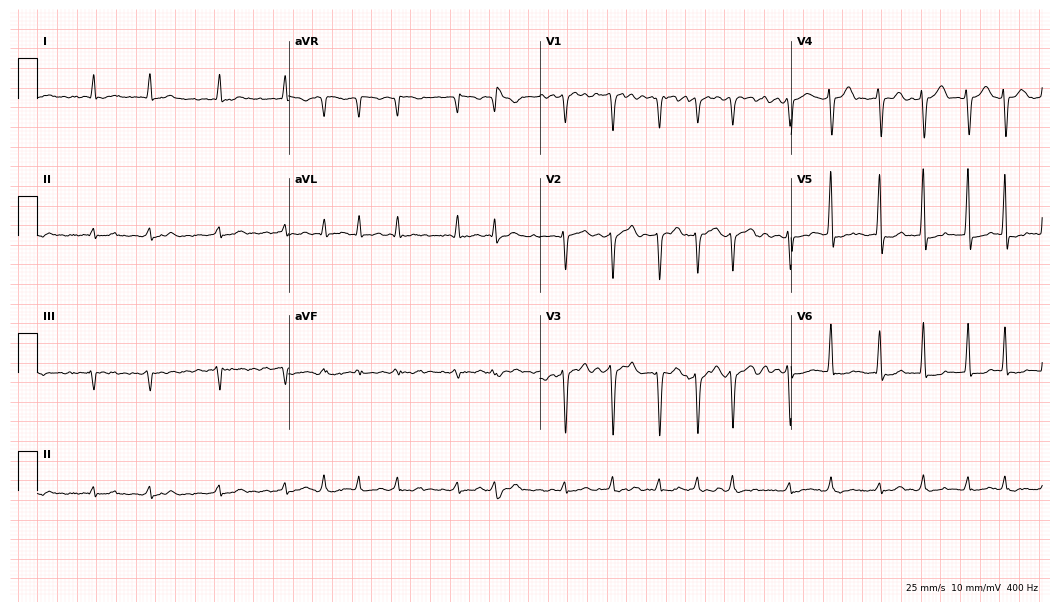
Standard 12-lead ECG recorded from a male patient, 77 years old (10.2-second recording at 400 Hz). The tracing shows atrial fibrillation.